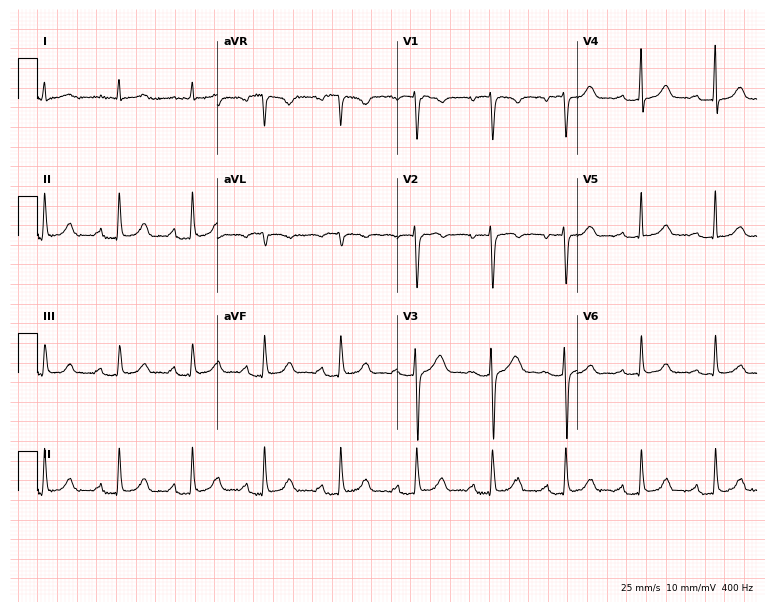
Electrocardiogram, a female patient, 33 years old. Interpretation includes first-degree AV block.